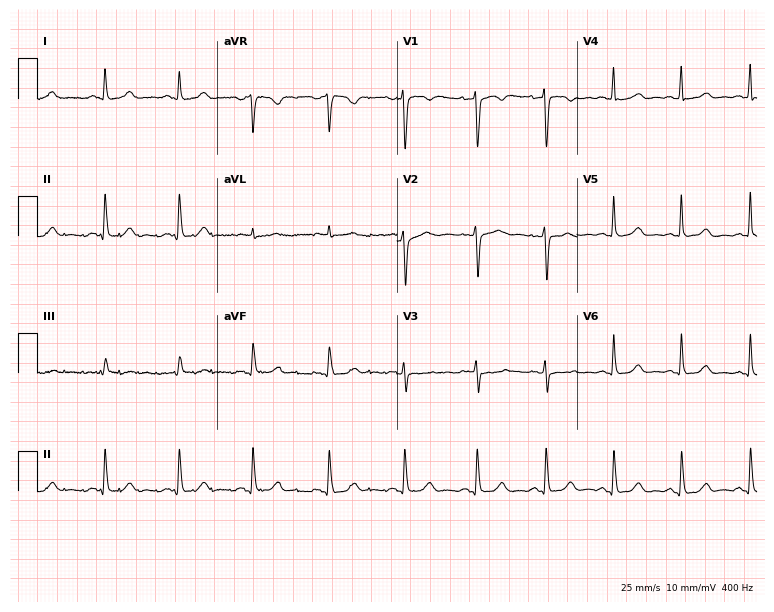
Electrocardiogram, a female patient, 49 years old. Overall reading on record: normal ECG.